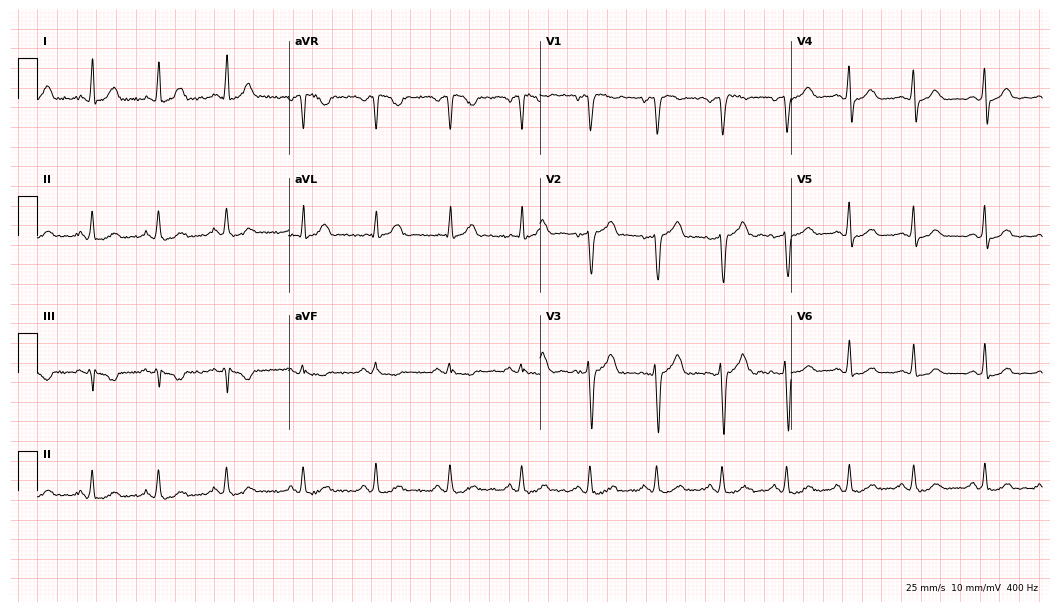
Electrocardiogram (10.2-second recording at 400 Hz), a female, 40 years old. Overall reading on record: normal ECG.